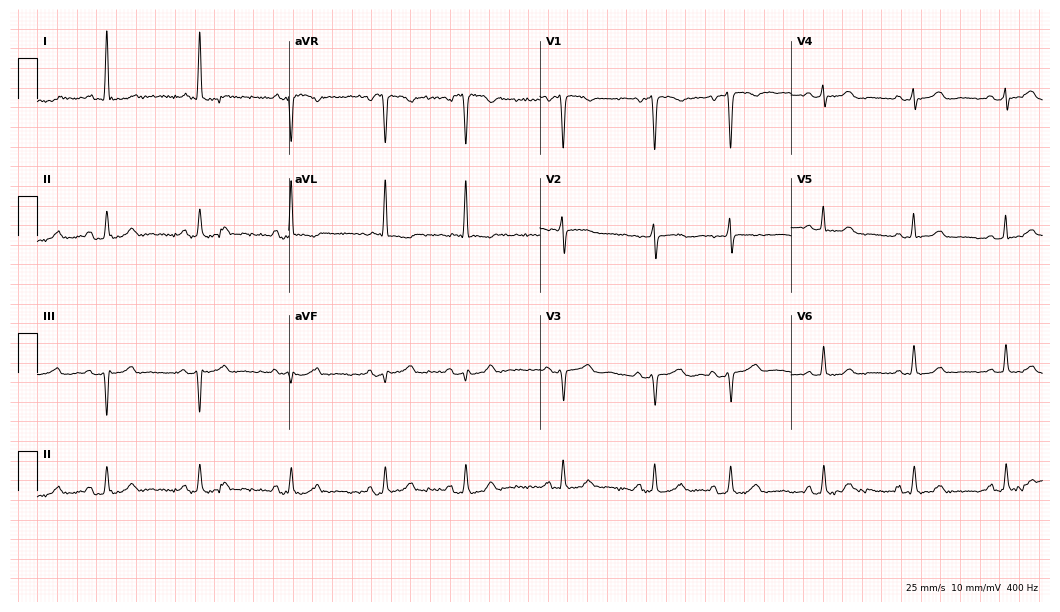
Electrocardiogram (10.2-second recording at 400 Hz), a female, 70 years old. Of the six screened findings (first-degree AV block, right bundle branch block, left bundle branch block, sinus bradycardia, atrial fibrillation, sinus tachycardia), none is recorded.